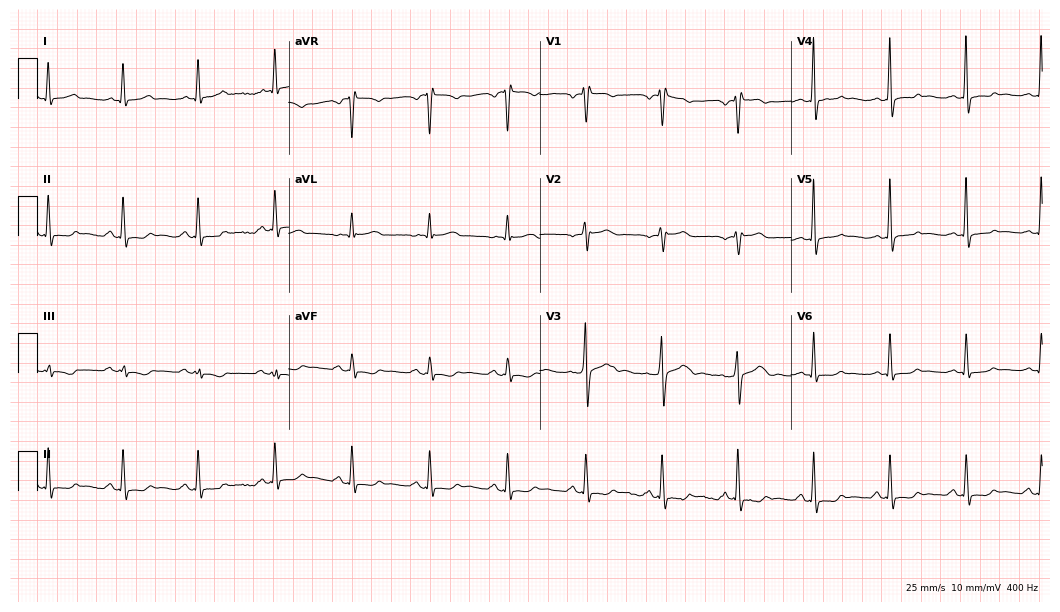
Resting 12-lead electrocardiogram. Patient: a man, 60 years old. None of these six findings is recorded: first-degree AV block, right bundle branch block, left bundle branch block, sinus bradycardia, atrial fibrillation, sinus tachycardia.